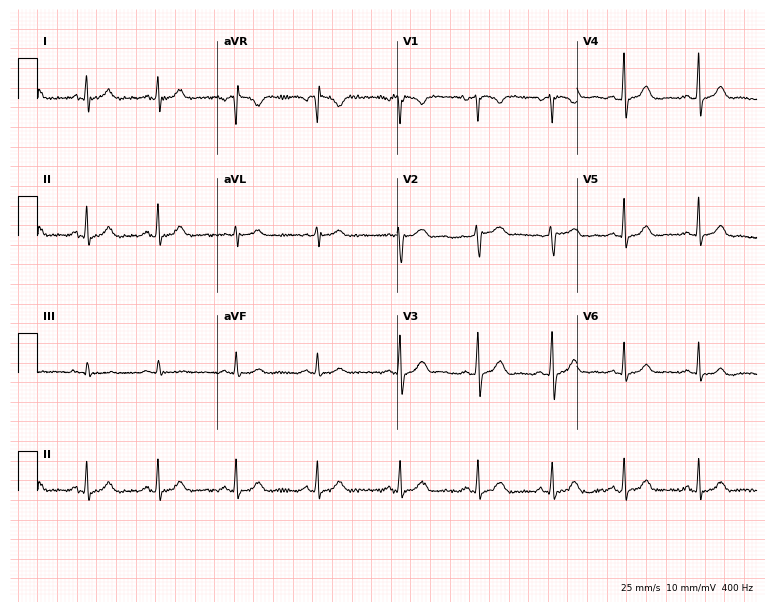
Electrocardiogram (7.3-second recording at 400 Hz), a female, 26 years old. Overall reading on record: normal ECG.